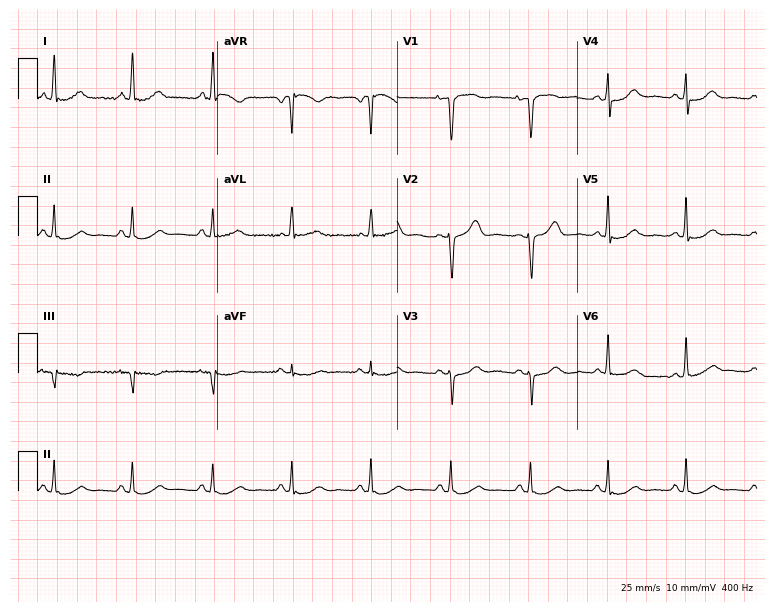
Resting 12-lead electrocardiogram (7.3-second recording at 400 Hz). Patient: a female, 53 years old. Read as a normal ECG.